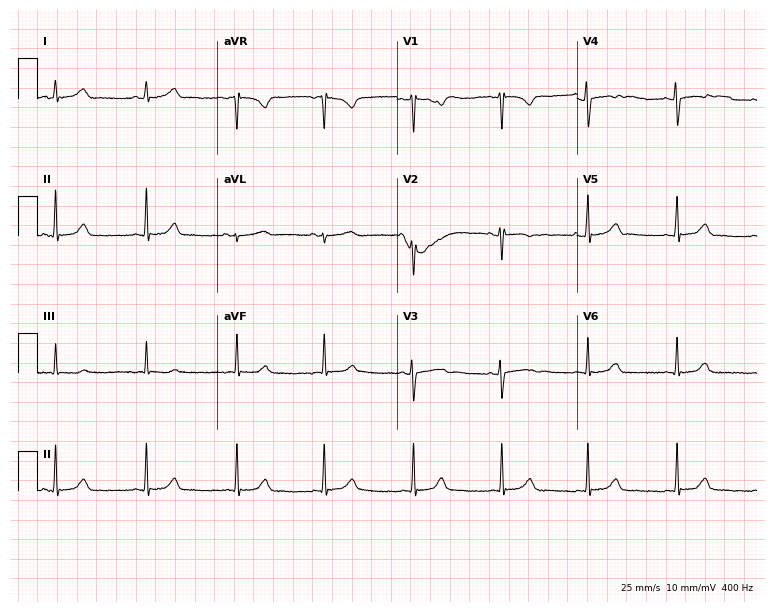
12-lead ECG (7.3-second recording at 400 Hz) from a 21-year-old woman. Labelled as a normal ECG.